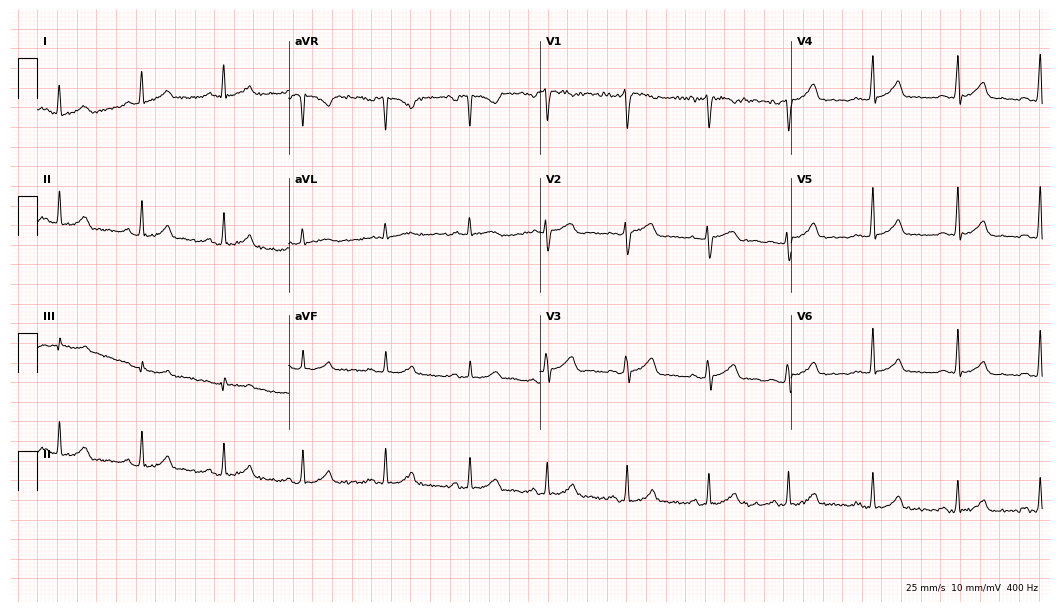
12-lead ECG from a female patient, 32 years old. Labelled as a normal ECG.